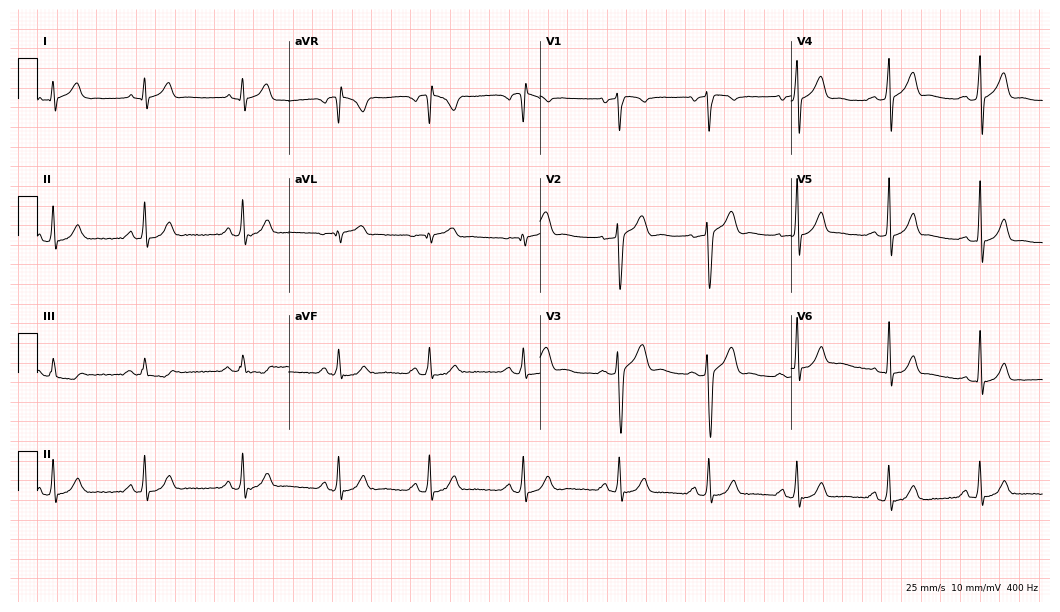
Electrocardiogram (10.2-second recording at 400 Hz), a 24-year-old man. Overall reading on record: normal ECG.